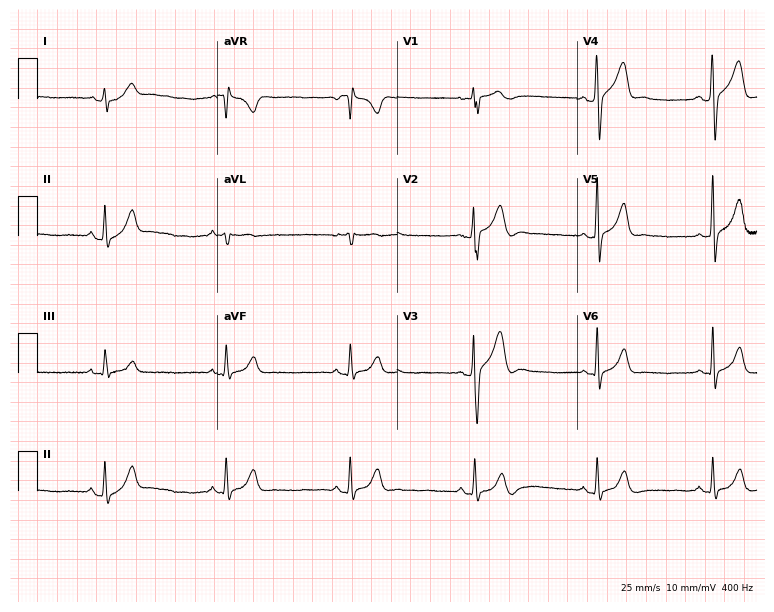
Electrocardiogram (7.3-second recording at 400 Hz), a 24-year-old male. Interpretation includes sinus bradycardia (a sinus rate of 50 beats per minute or less).